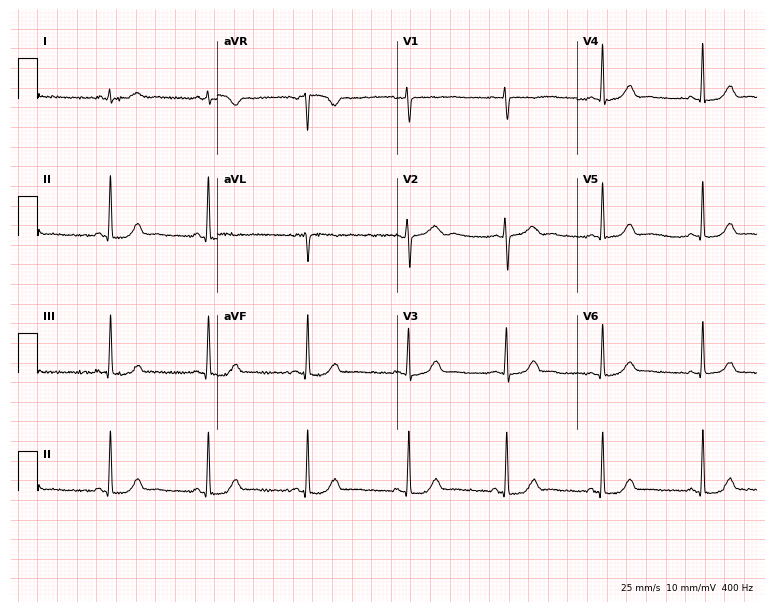
ECG (7.3-second recording at 400 Hz) — a female patient, 38 years old. Screened for six findings — first-degree AV block, right bundle branch block (RBBB), left bundle branch block (LBBB), sinus bradycardia, atrial fibrillation (AF), sinus tachycardia — none is recorded.